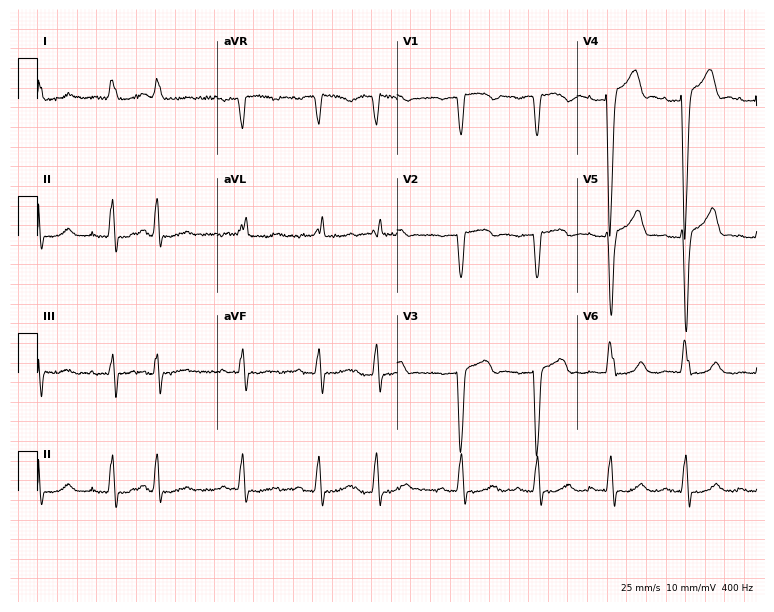
Standard 12-lead ECG recorded from a woman, 81 years old (7.3-second recording at 400 Hz). The tracing shows left bundle branch block.